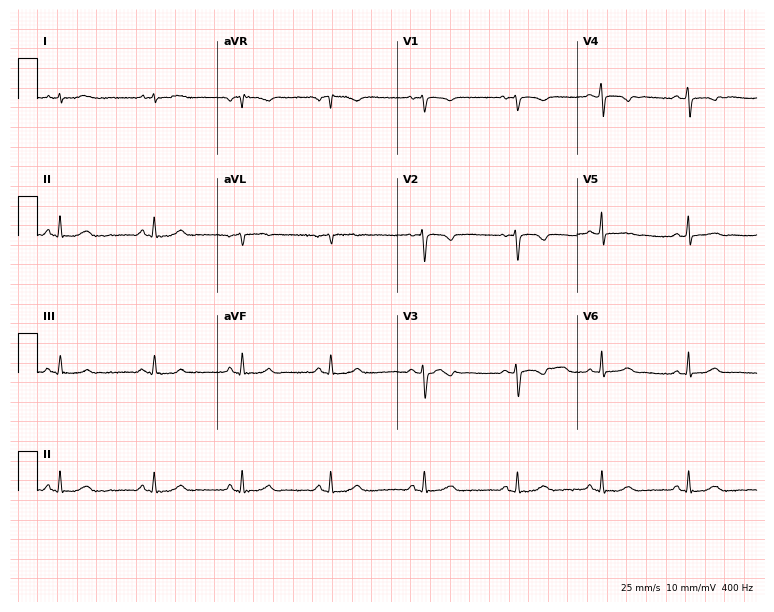
12-lead ECG from a woman, 25 years old. Labelled as a normal ECG.